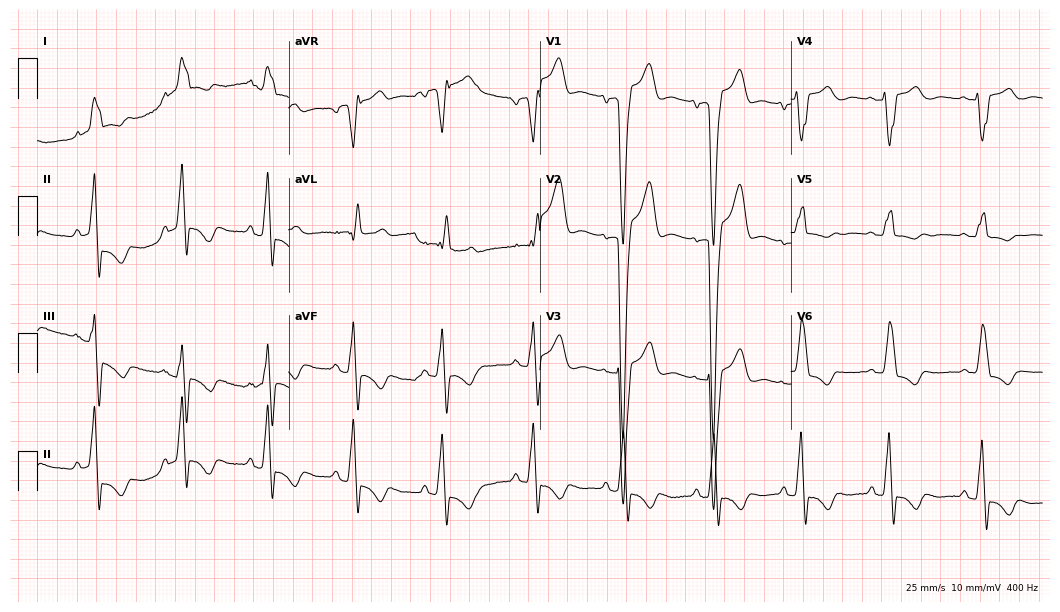
12-lead ECG (10.2-second recording at 400 Hz) from a female patient, 62 years old. Findings include left bundle branch block.